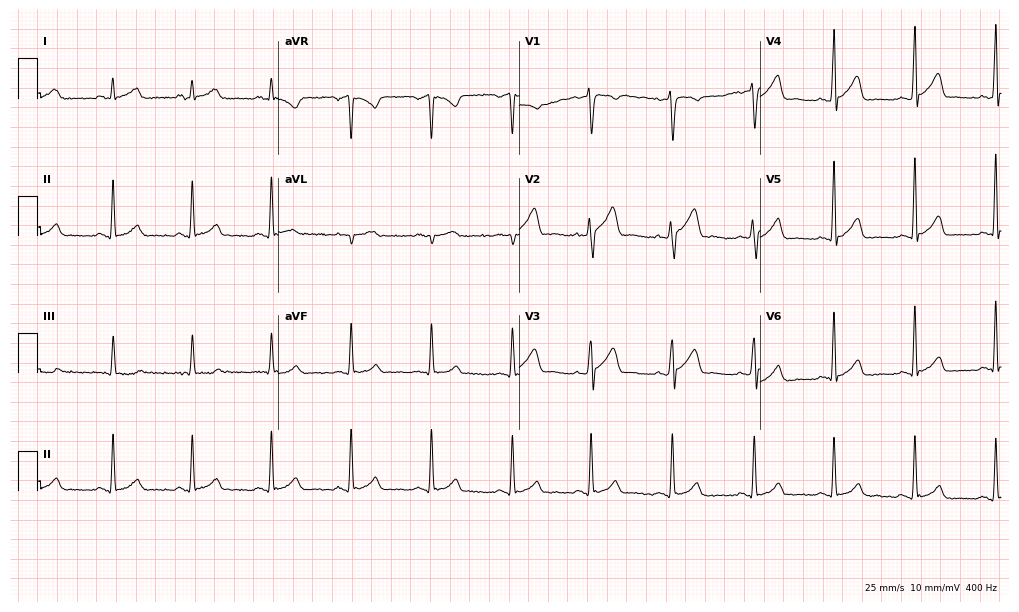
Electrocardiogram, a 43-year-old male. Overall reading on record: normal ECG.